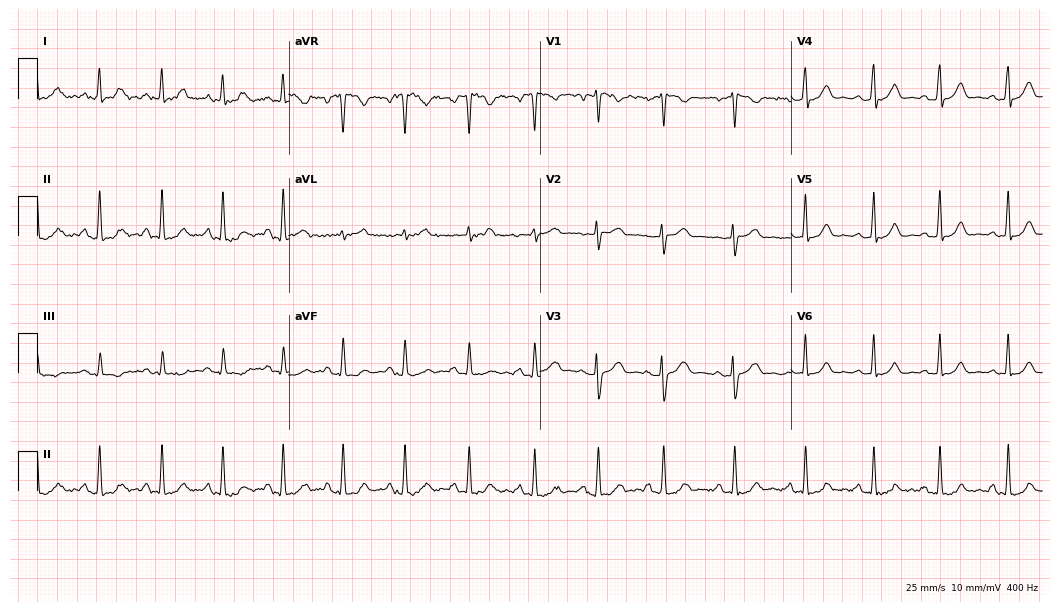
12-lead ECG from a 30-year-old woman (10.2-second recording at 400 Hz). Recorded interpretation: within normal limits.